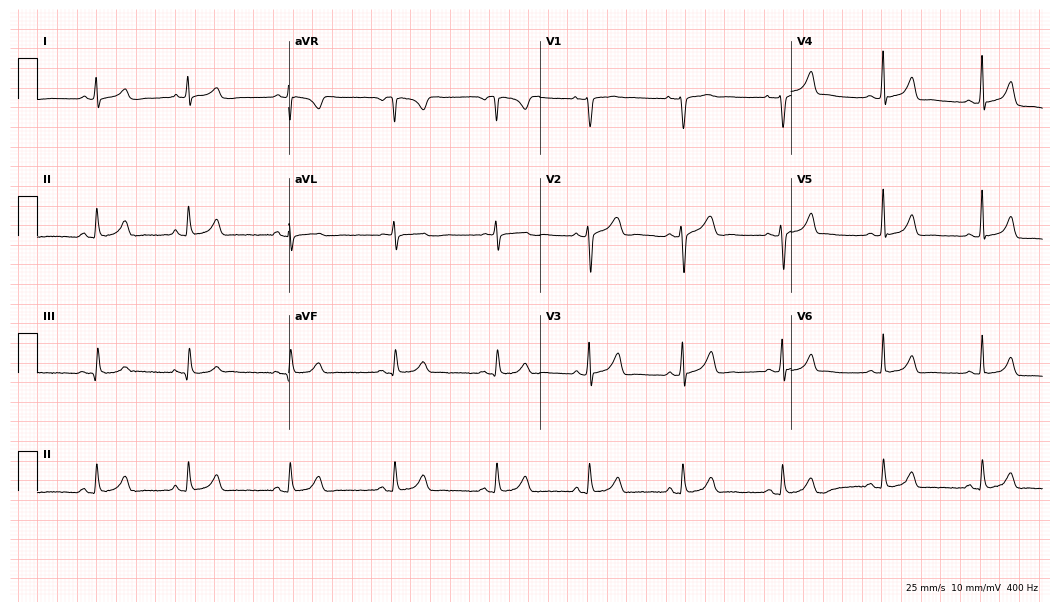
12-lead ECG from a 40-year-old woman (10.2-second recording at 400 Hz). Recorded interpretation: within normal limits.